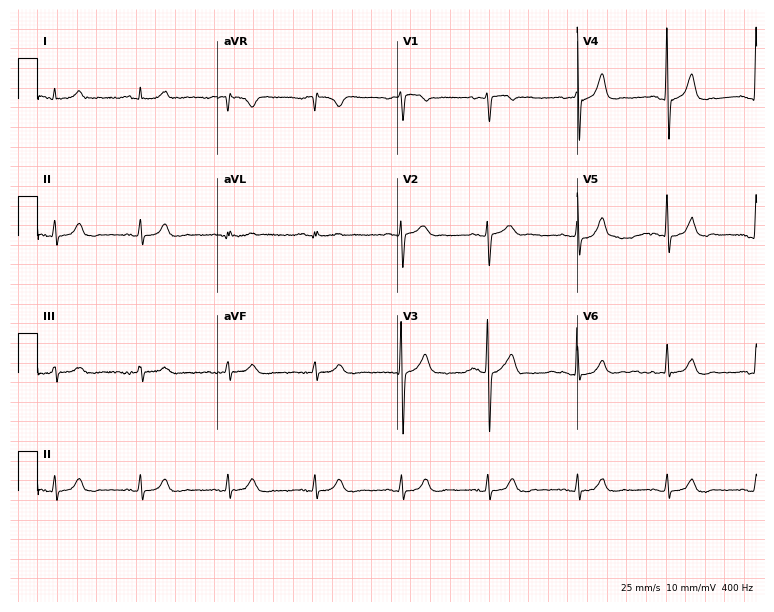
ECG — a 48-year-old man. Labelled as a normal ECG.